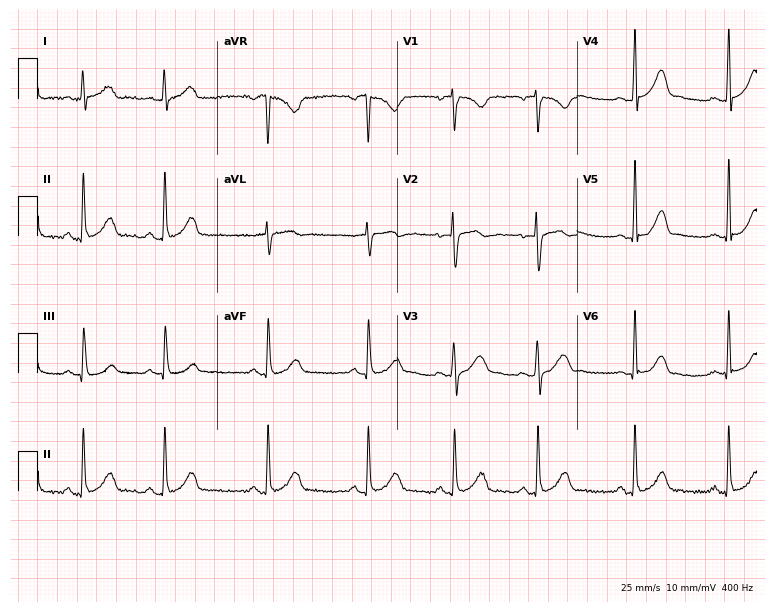
Electrocardiogram (7.3-second recording at 400 Hz), a female patient, 27 years old. Overall reading on record: normal ECG.